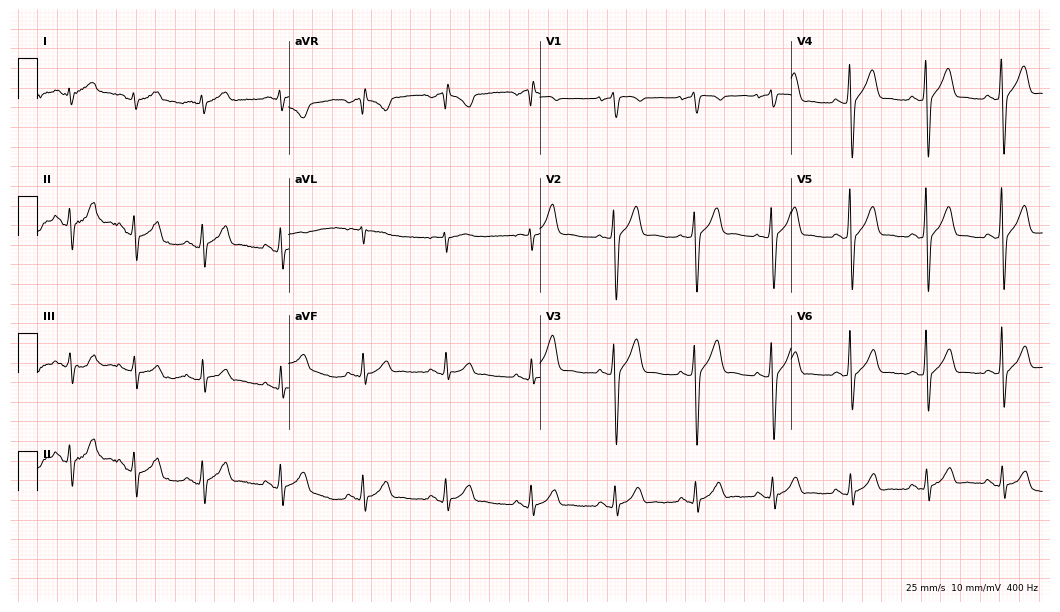
12-lead ECG from a male, 27 years old. No first-degree AV block, right bundle branch block, left bundle branch block, sinus bradycardia, atrial fibrillation or sinus tachycardia recorded for this tracing. Other findings, if any, are not listed.